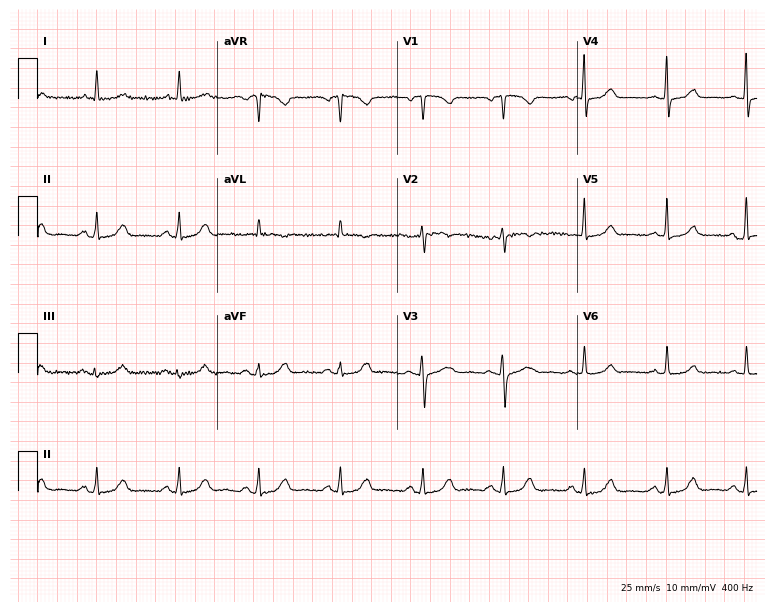
12-lead ECG (7.3-second recording at 400 Hz) from a woman, 70 years old. Labelled as a normal ECG.